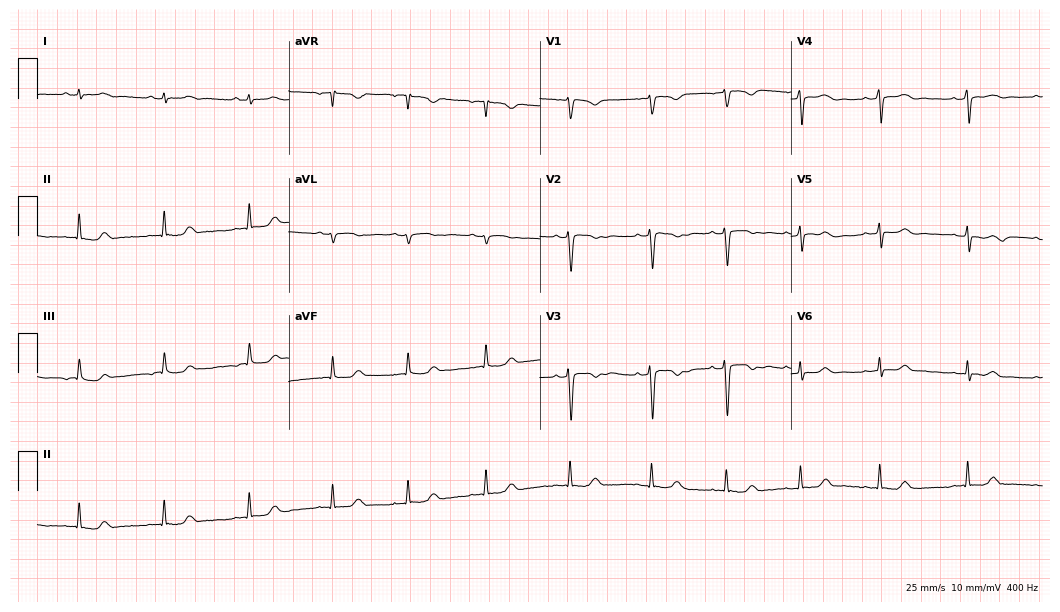
ECG (10.2-second recording at 400 Hz) — a woman, 25 years old. Screened for six findings — first-degree AV block, right bundle branch block, left bundle branch block, sinus bradycardia, atrial fibrillation, sinus tachycardia — none is recorded. Findings outside these six are not listed.